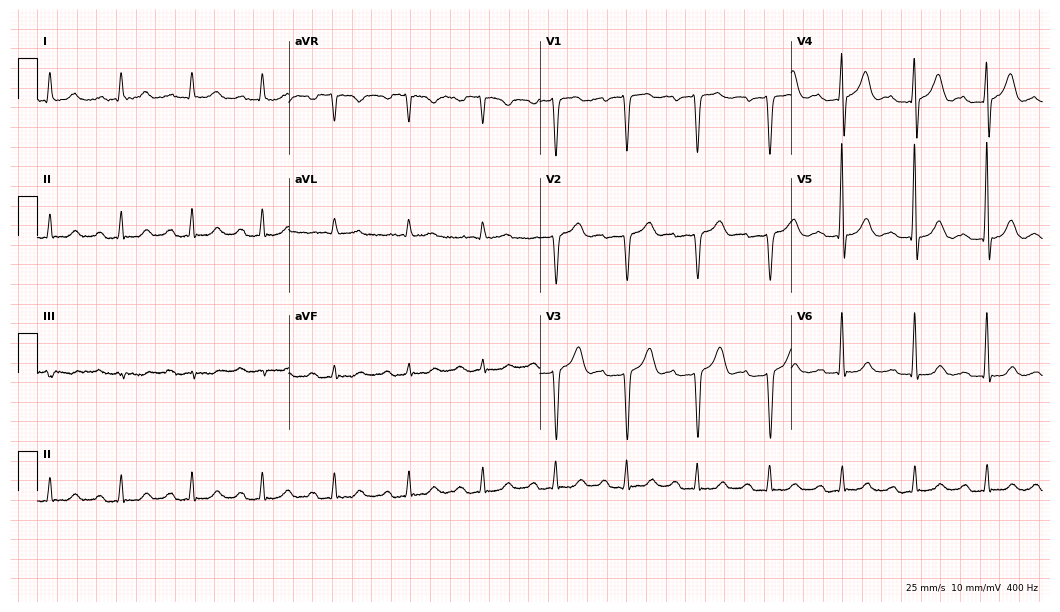
12-lead ECG from an 81-year-old male patient (10.2-second recording at 400 Hz). Shows first-degree AV block.